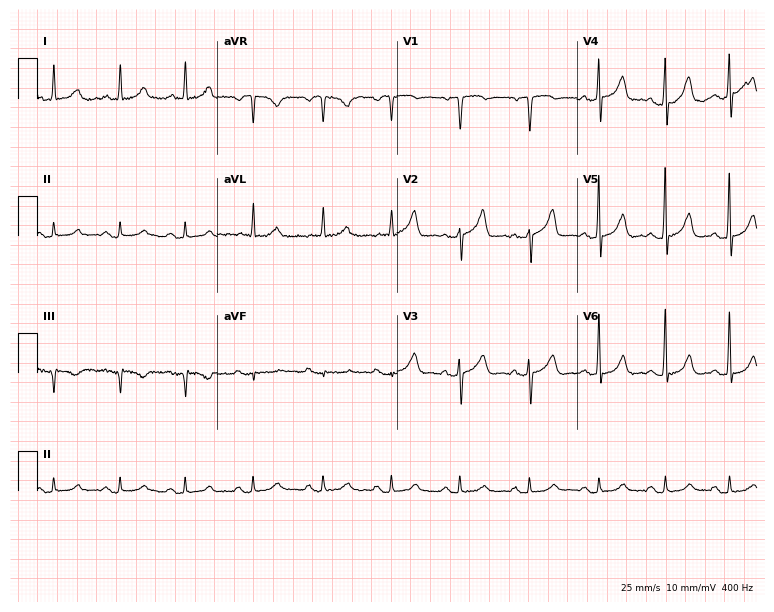
ECG (7.3-second recording at 400 Hz) — a 66-year-old male. Labelled as a normal ECG.